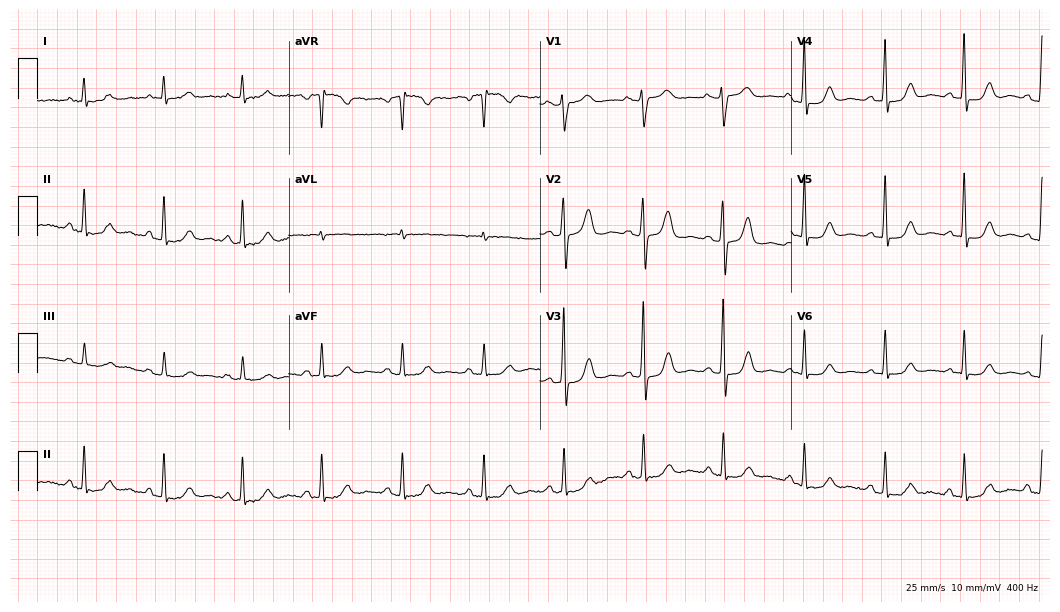
Resting 12-lead electrocardiogram. Patient: a 64-year-old woman. None of these six findings is recorded: first-degree AV block, right bundle branch block, left bundle branch block, sinus bradycardia, atrial fibrillation, sinus tachycardia. Other findings, if any, are not listed.